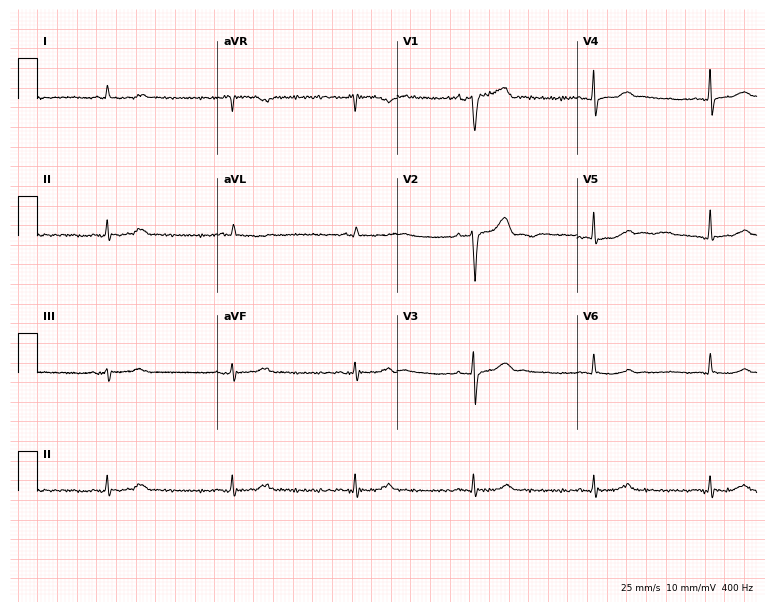
Standard 12-lead ECG recorded from a male, 85 years old. The tracing shows sinus bradycardia (a sinus rate of 50 beats per minute or less).